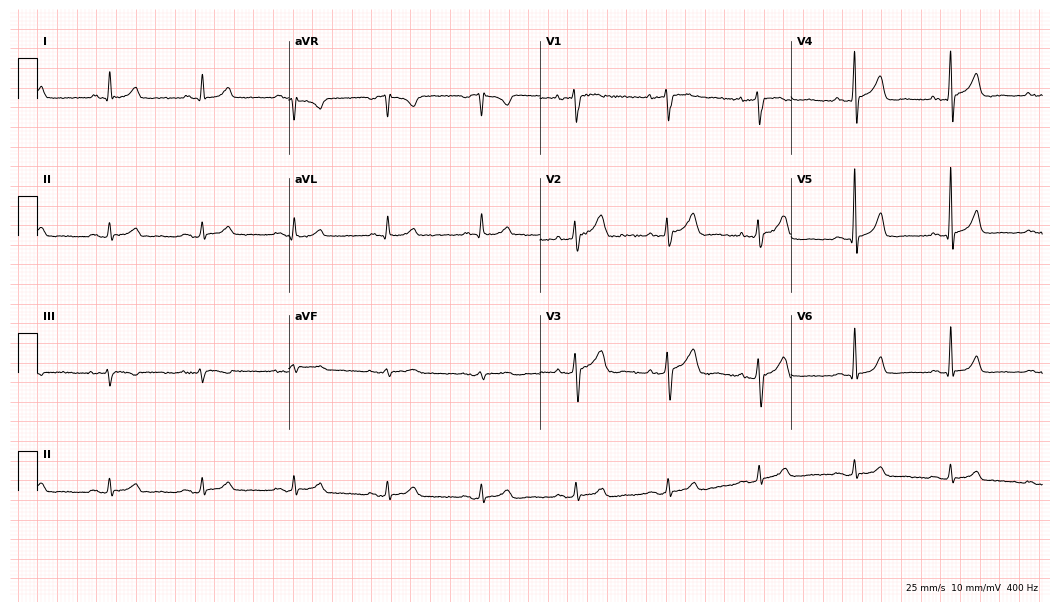
Resting 12-lead electrocardiogram (10.2-second recording at 400 Hz). Patient: a male, 55 years old. None of these six findings is recorded: first-degree AV block, right bundle branch block (RBBB), left bundle branch block (LBBB), sinus bradycardia, atrial fibrillation (AF), sinus tachycardia.